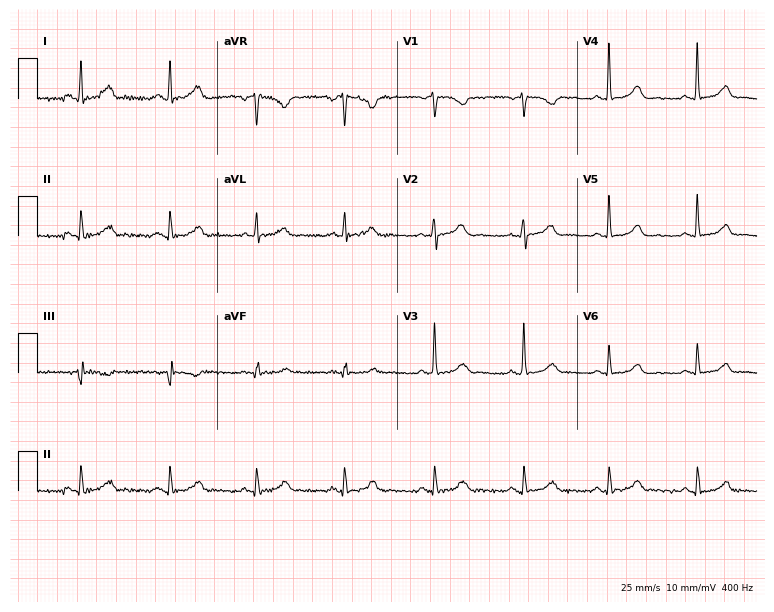
Electrocardiogram (7.3-second recording at 400 Hz), a female, 54 years old. Overall reading on record: normal ECG.